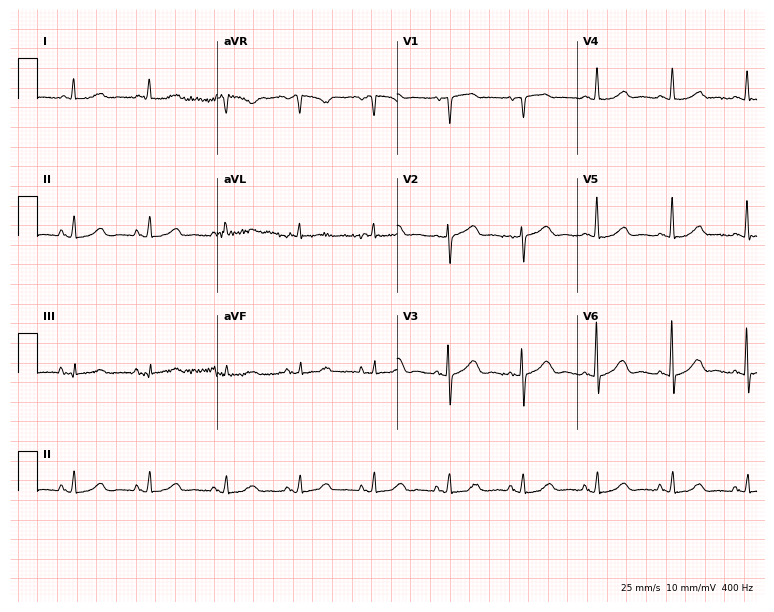
12-lead ECG (7.3-second recording at 400 Hz) from a 78-year-old woman. Screened for six findings — first-degree AV block, right bundle branch block, left bundle branch block, sinus bradycardia, atrial fibrillation, sinus tachycardia — none is recorded.